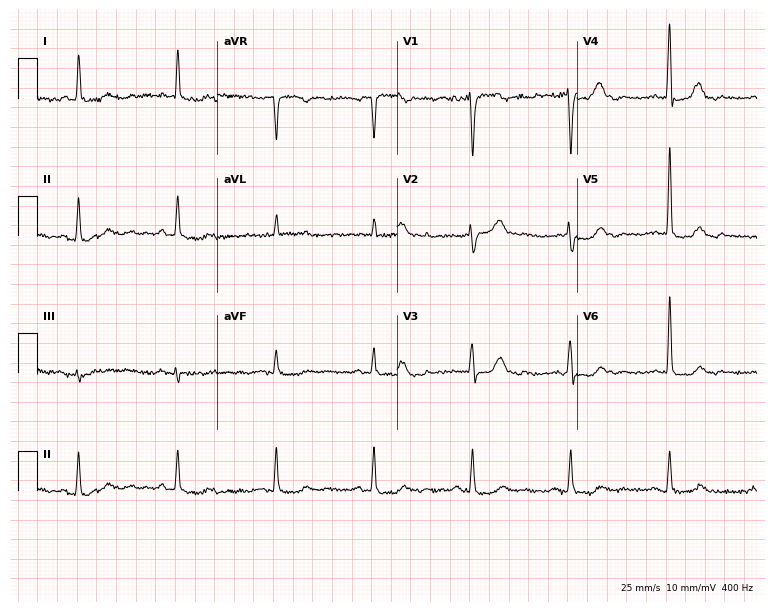
Resting 12-lead electrocardiogram. Patient: a man, 81 years old. None of these six findings is recorded: first-degree AV block, right bundle branch block, left bundle branch block, sinus bradycardia, atrial fibrillation, sinus tachycardia.